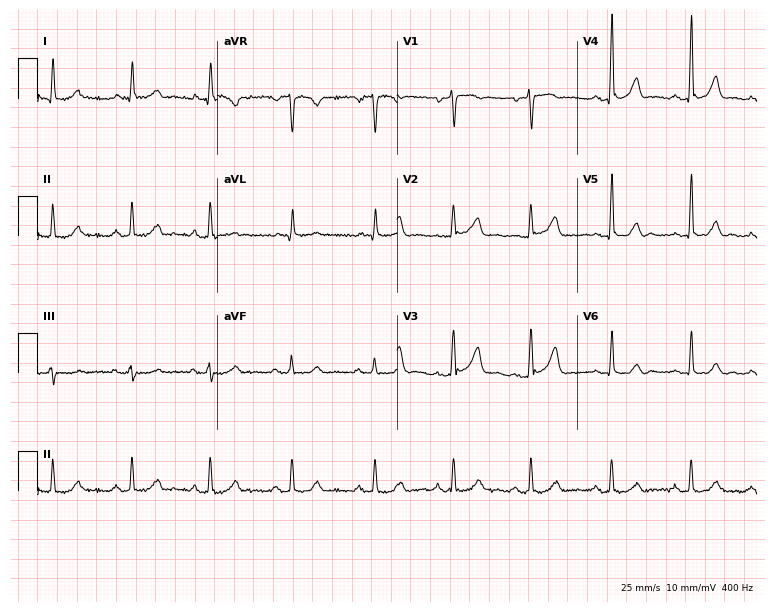
Standard 12-lead ECG recorded from a female patient, 51 years old (7.3-second recording at 400 Hz). Read as a normal ECG.